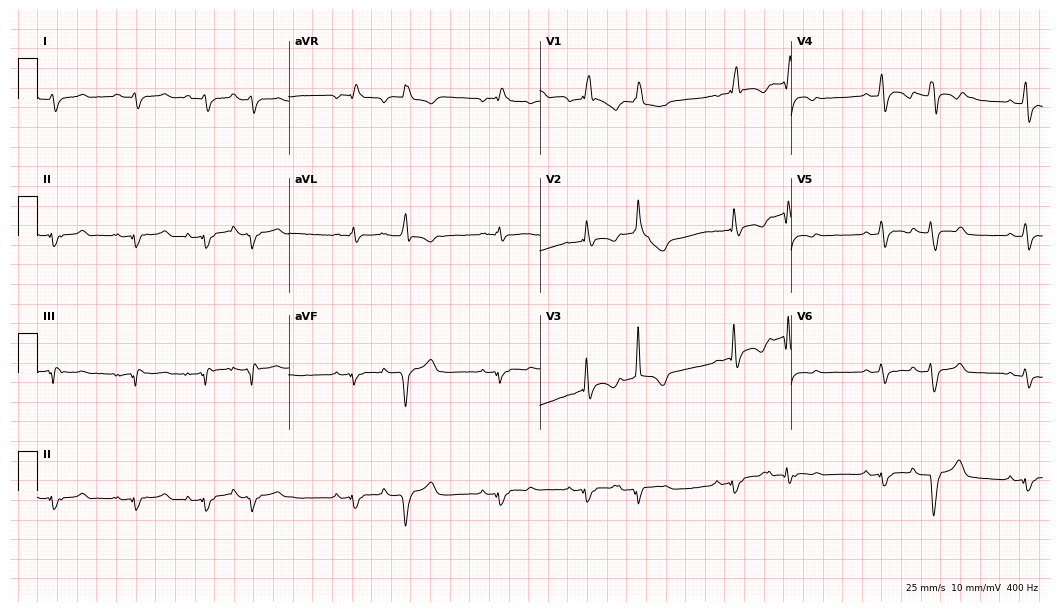
Standard 12-lead ECG recorded from a 48-year-old male (10.2-second recording at 400 Hz). None of these six findings is recorded: first-degree AV block, right bundle branch block, left bundle branch block, sinus bradycardia, atrial fibrillation, sinus tachycardia.